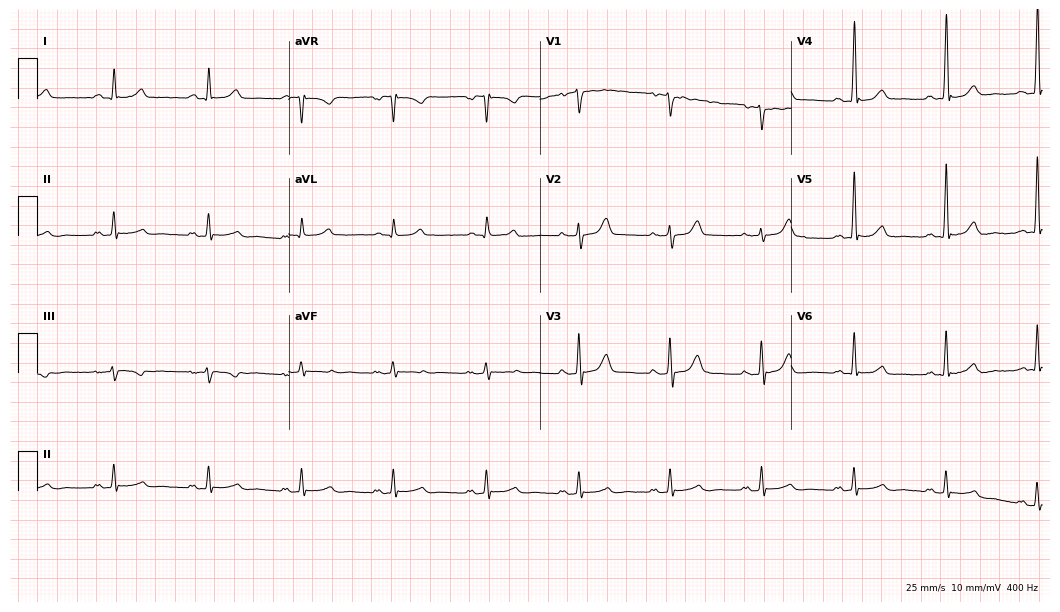
ECG — a man, 72 years old. Labelled as a normal ECG.